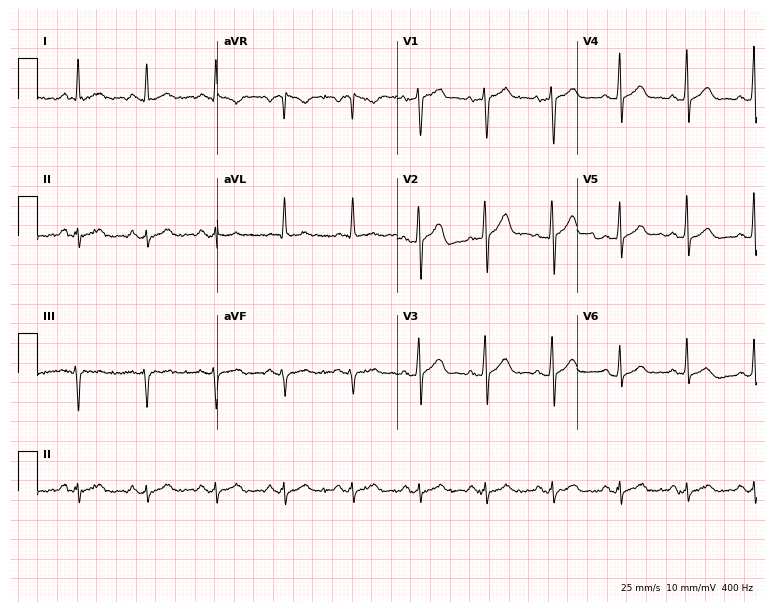
ECG (7.3-second recording at 400 Hz) — a 58-year-old man. Labelled as a normal ECG.